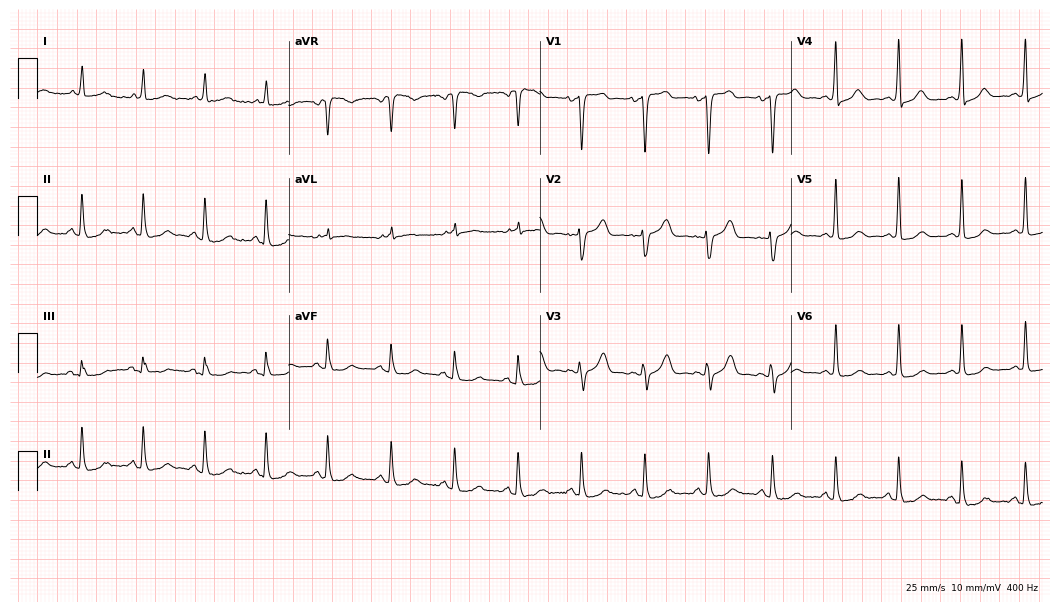
12-lead ECG from a woman, 79 years old. Screened for six findings — first-degree AV block, right bundle branch block, left bundle branch block, sinus bradycardia, atrial fibrillation, sinus tachycardia — none is recorded. Findings outside these six are not listed.